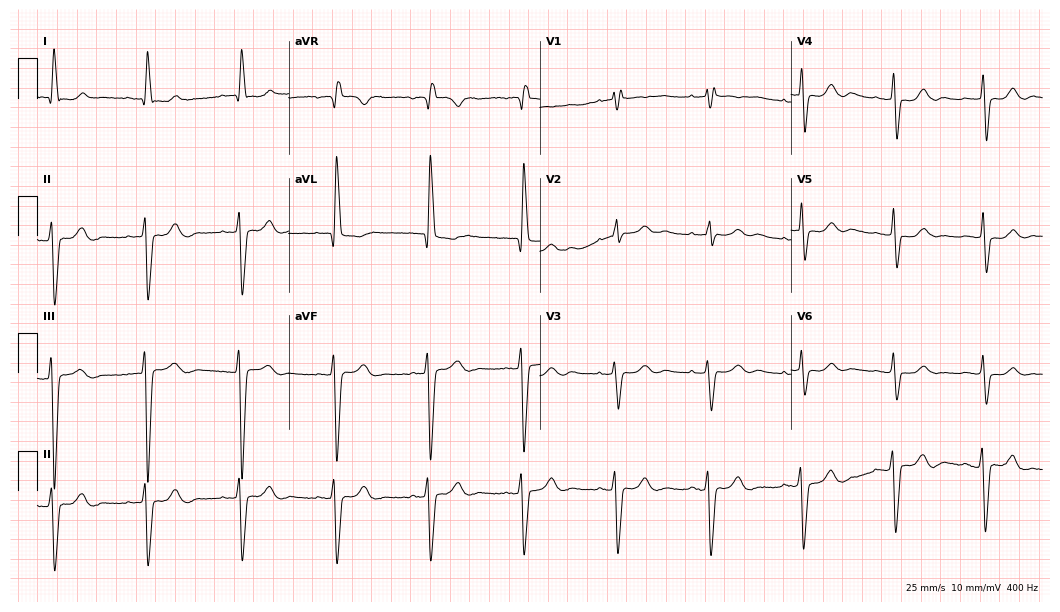
Electrocardiogram, an 82-year-old female patient. Interpretation includes right bundle branch block.